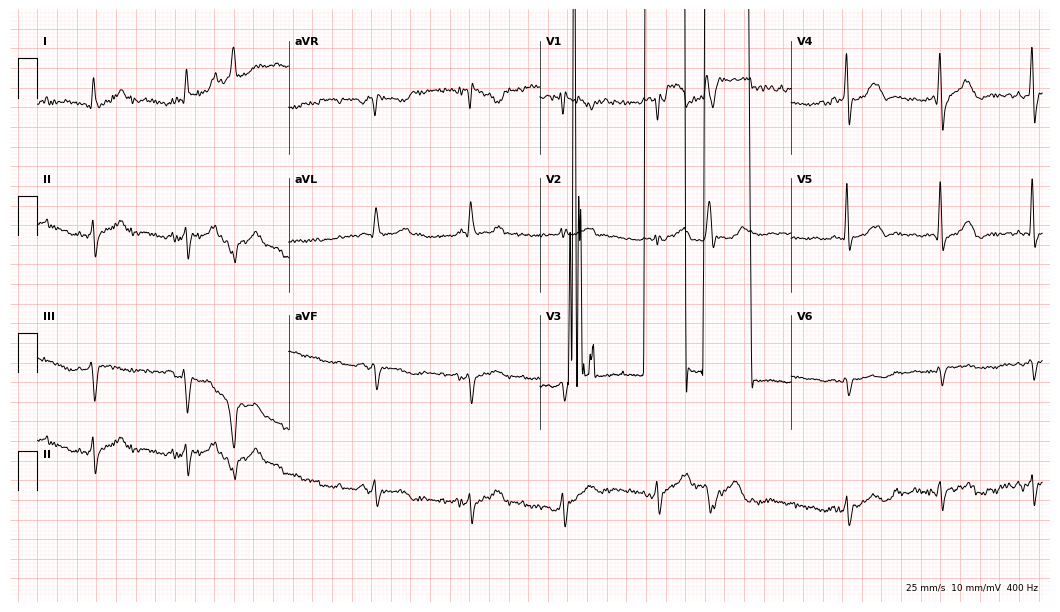
12-lead ECG from a male, 85 years old. No first-degree AV block, right bundle branch block, left bundle branch block, sinus bradycardia, atrial fibrillation or sinus tachycardia recorded for this tracing.